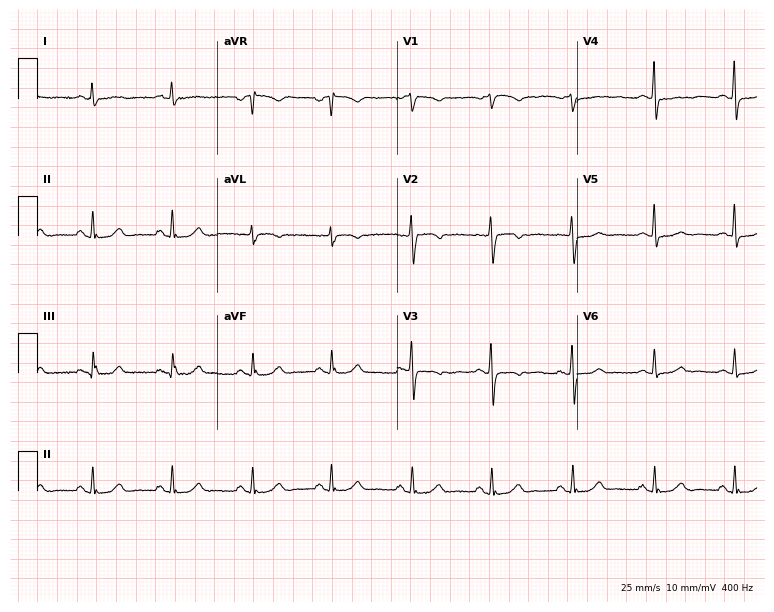
Electrocardiogram, a female, 60 years old. Of the six screened findings (first-degree AV block, right bundle branch block, left bundle branch block, sinus bradycardia, atrial fibrillation, sinus tachycardia), none is recorded.